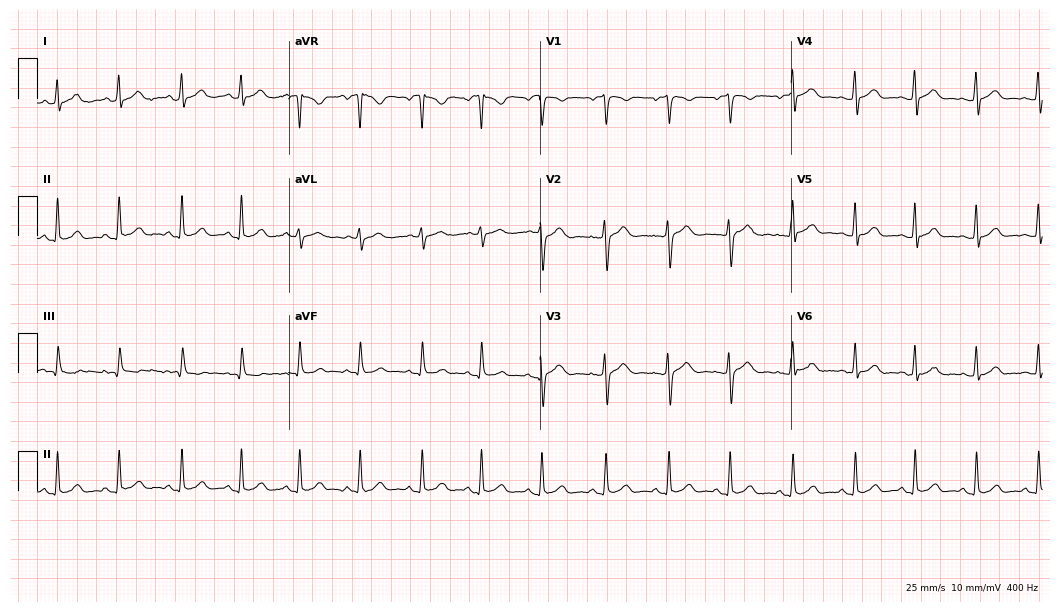
Standard 12-lead ECG recorded from a 26-year-old woman (10.2-second recording at 400 Hz). Read as a normal ECG.